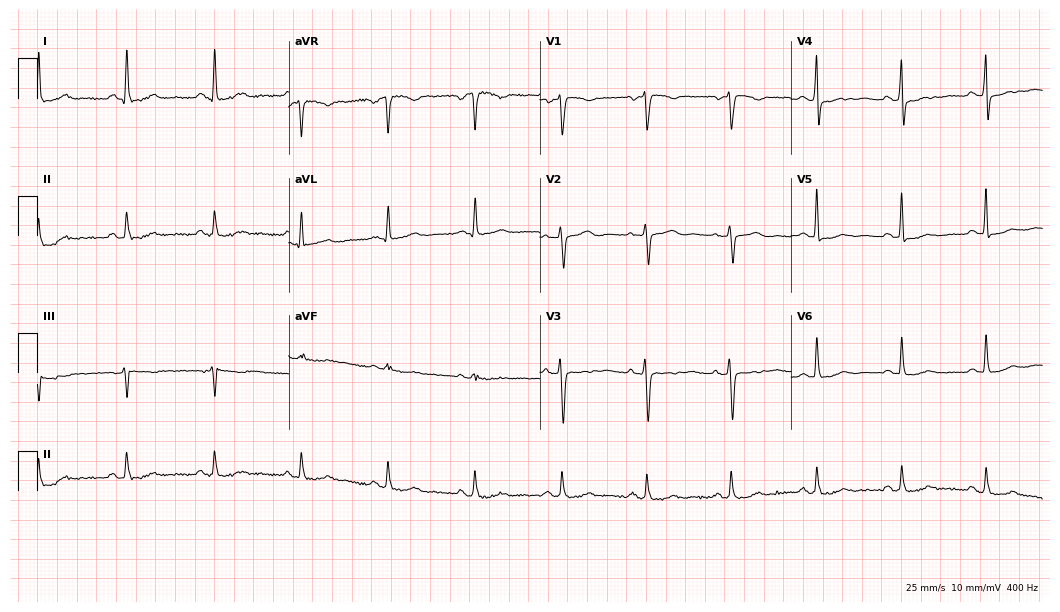
ECG — a female, 62 years old. Labelled as a normal ECG.